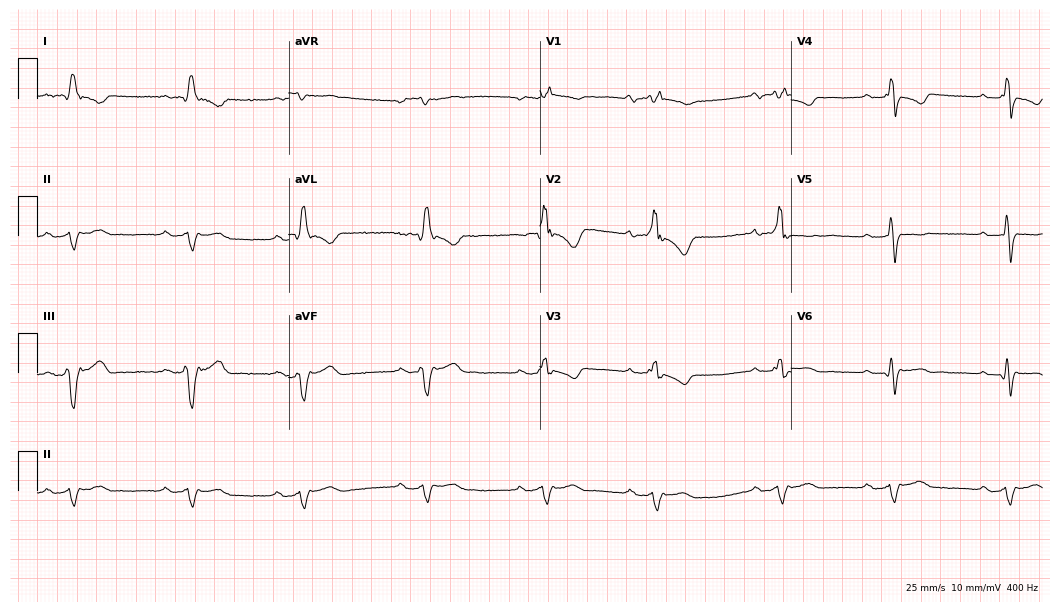
12-lead ECG from a female, 43 years old. Shows first-degree AV block, right bundle branch block.